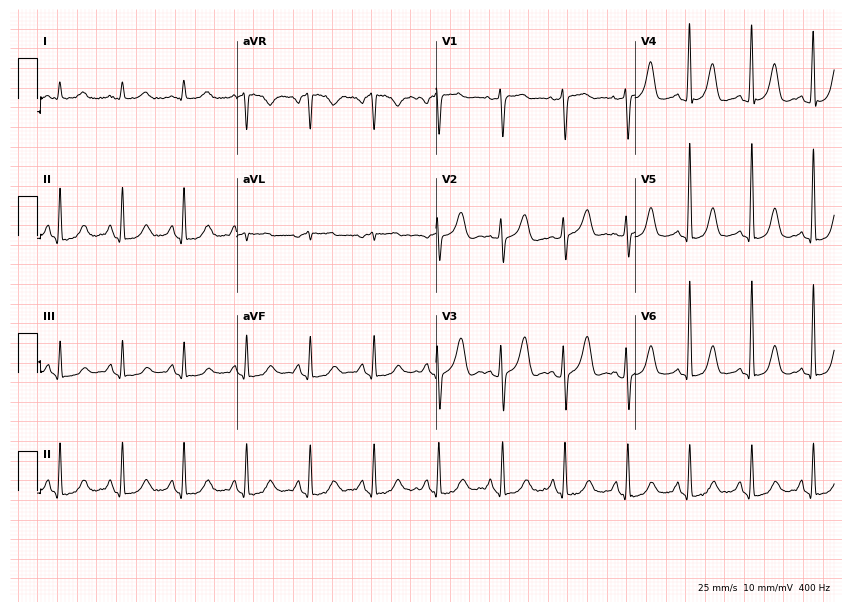
Resting 12-lead electrocardiogram. Patient: a female, 57 years old. None of these six findings is recorded: first-degree AV block, right bundle branch block, left bundle branch block, sinus bradycardia, atrial fibrillation, sinus tachycardia. Other findings, if any, are not listed.